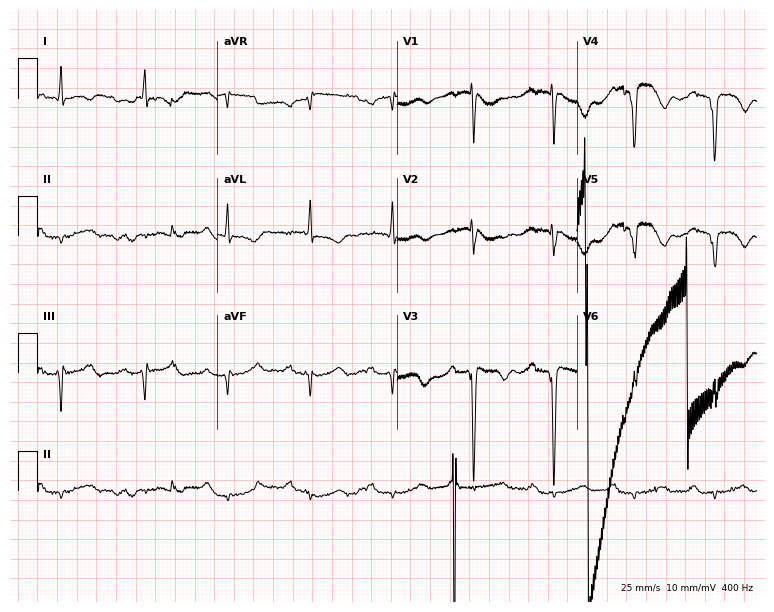
Resting 12-lead electrocardiogram. Patient: a 65-year-old male. None of these six findings is recorded: first-degree AV block, right bundle branch block, left bundle branch block, sinus bradycardia, atrial fibrillation, sinus tachycardia. Other findings, if any, are not listed.